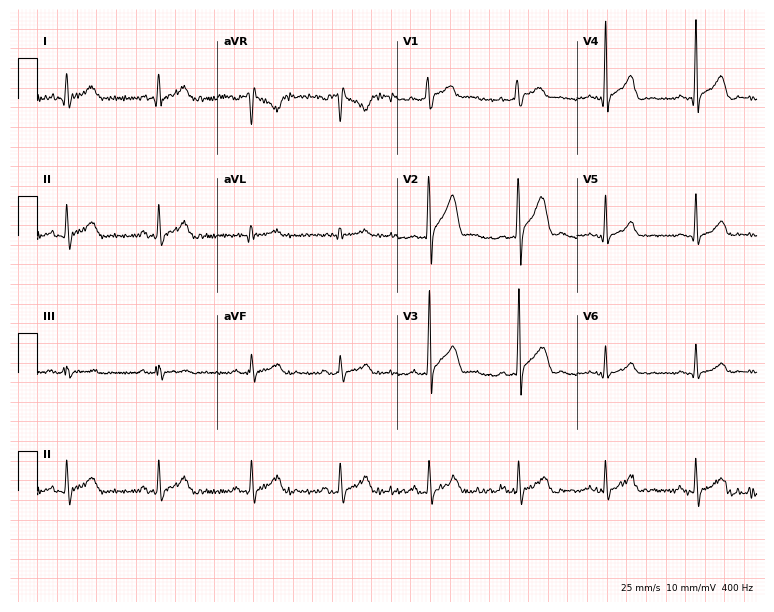
Standard 12-lead ECG recorded from a male, 31 years old (7.3-second recording at 400 Hz). None of these six findings is recorded: first-degree AV block, right bundle branch block (RBBB), left bundle branch block (LBBB), sinus bradycardia, atrial fibrillation (AF), sinus tachycardia. Other findings, if any, are not listed.